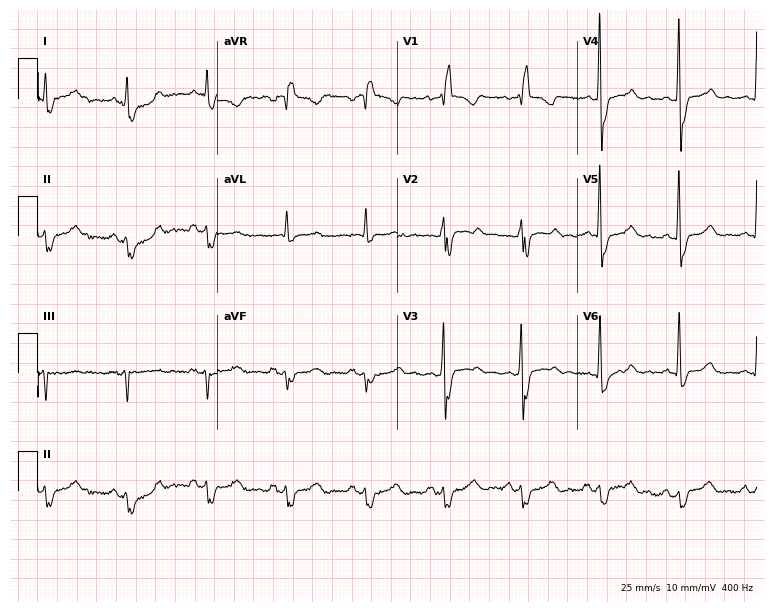
Standard 12-lead ECG recorded from a male, 55 years old. The tracing shows right bundle branch block (RBBB).